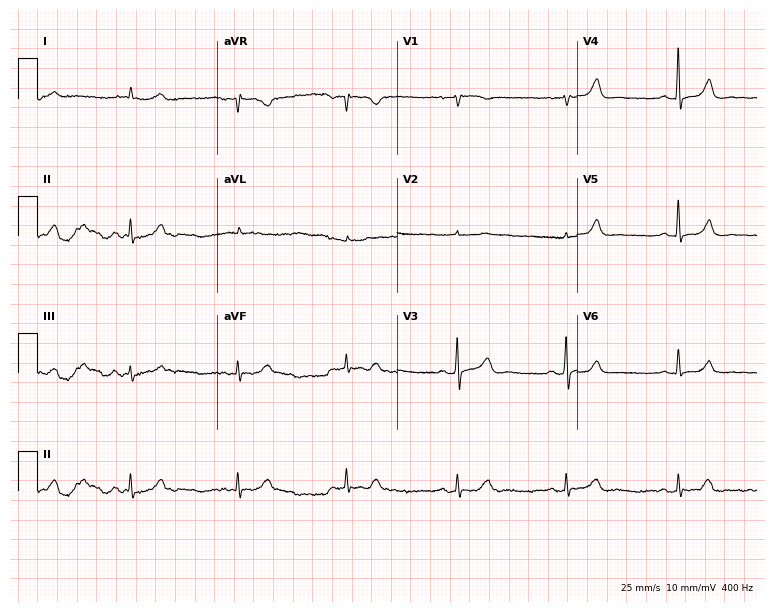
Electrocardiogram (7.3-second recording at 400 Hz), a woman, 75 years old. Overall reading on record: normal ECG.